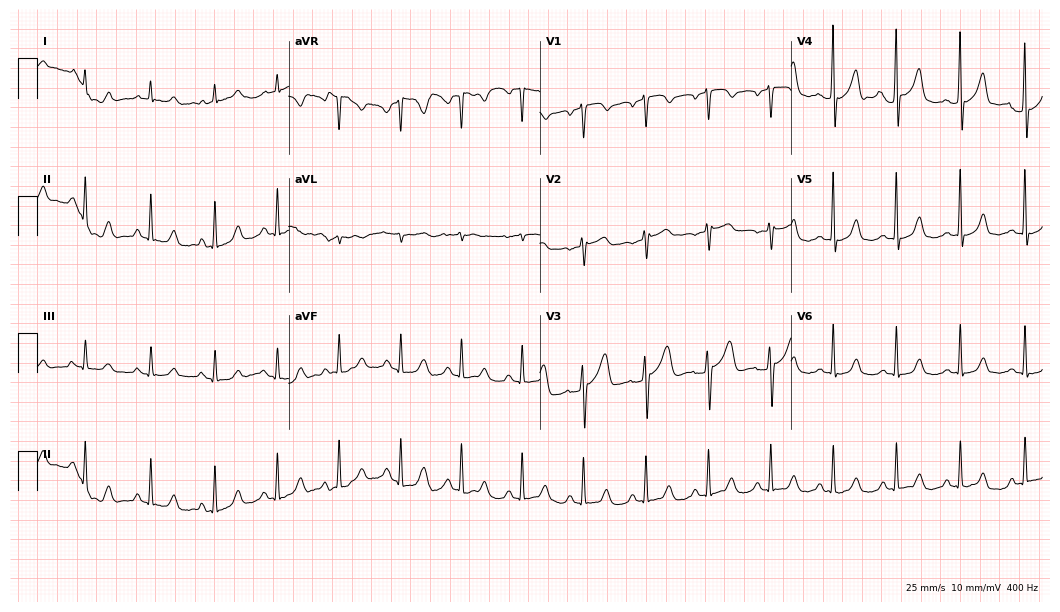
12-lead ECG from a male patient, 75 years old. Recorded interpretation: within normal limits.